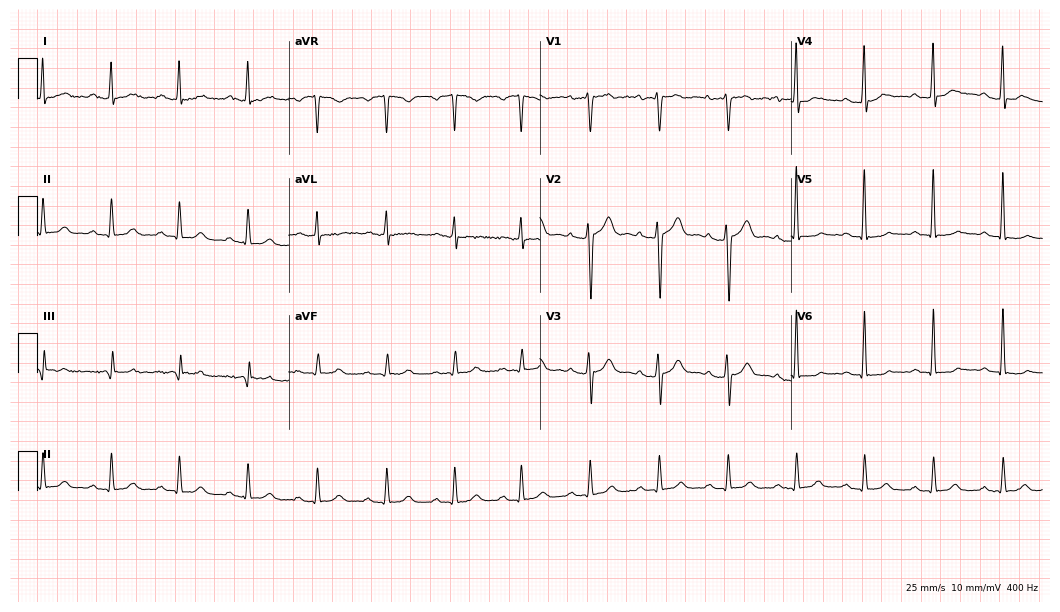
12-lead ECG from a female, 46 years old (10.2-second recording at 400 Hz). No first-degree AV block, right bundle branch block, left bundle branch block, sinus bradycardia, atrial fibrillation or sinus tachycardia recorded for this tracing. Other findings, if any, are not listed.